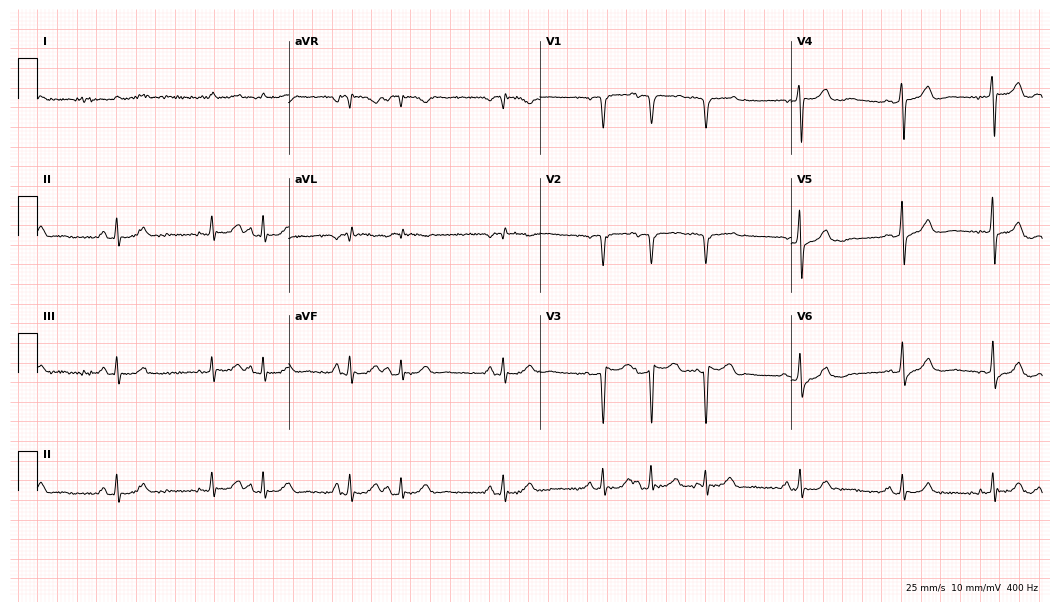
12-lead ECG (10.2-second recording at 400 Hz) from a man, 82 years old. Screened for six findings — first-degree AV block, right bundle branch block, left bundle branch block, sinus bradycardia, atrial fibrillation, sinus tachycardia — none is recorded. Findings outside these six are not listed.